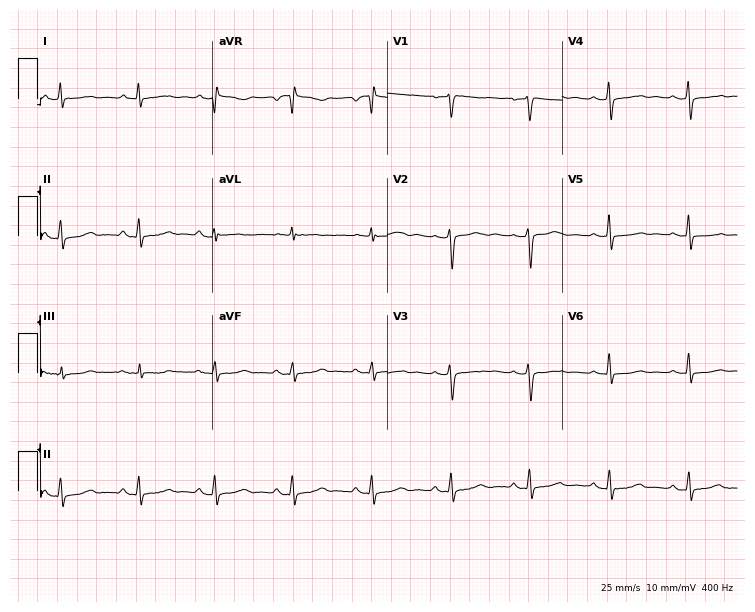
12-lead ECG from a 54-year-old female. No first-degree AV block, right bundle branch block (RBBB), left bundle branch block (LBBB), sinus bradycardia, atrial fibrillation (AF) or sinus tachycardia recorded for this tracing.